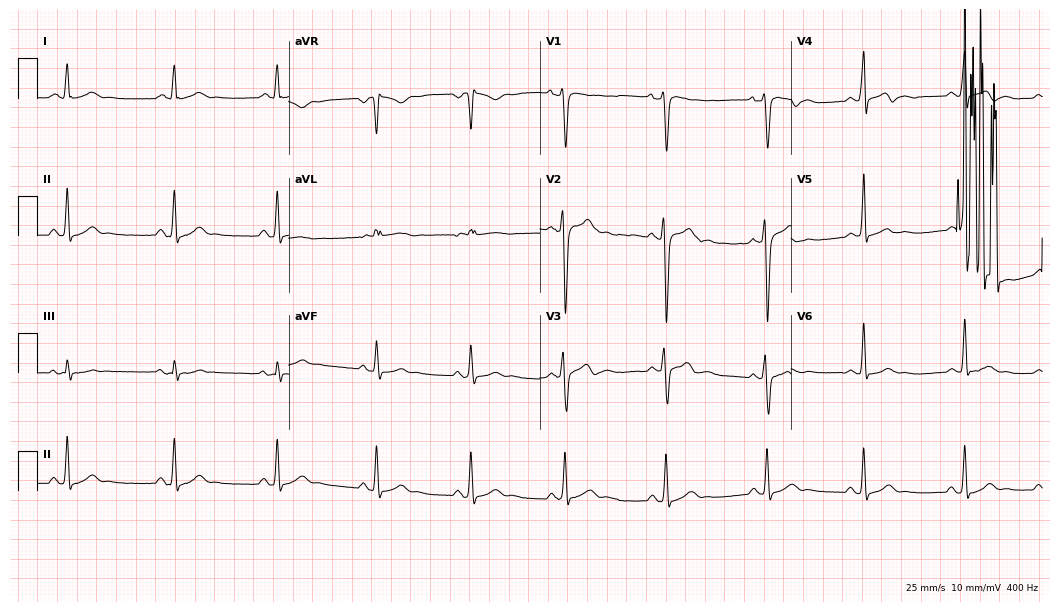
12-lead ECG from a man, 23 years old (10.2-second recording at 400 Hz). No first-degree AV block, right bundle branch block (RBBB), left bundle branch block (LBBB), sinus bradycardia, atrial fibrillation (AF) or sinus tachycardia recorded for this tracing.